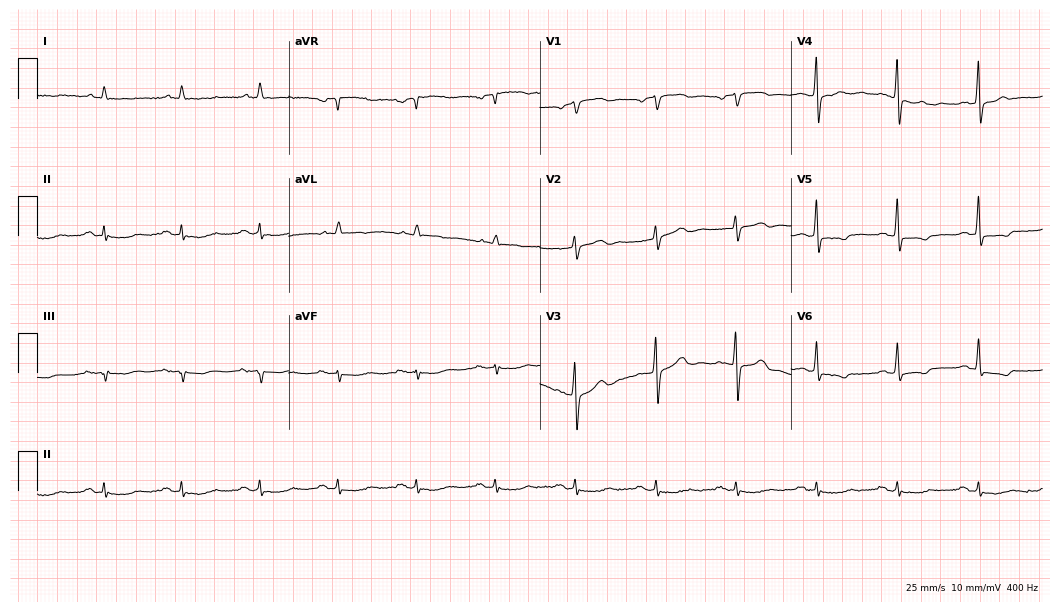
Electrocardiogram (10.2-second recording at 400 Hz), a male patient, 74 years old. Of the six screened findings (first-degree AV block, right bundle branch block, left bundle branch block, sinus bradycardia, atrial fibrillation, sinus tachycardia), none is recorded.